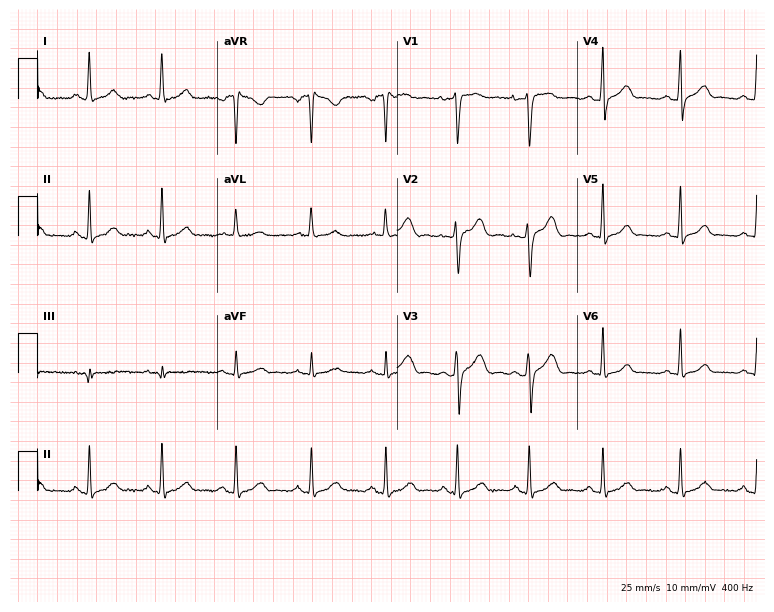
Resting 12-lead electrocardiogram (7.3-second recording at 400 Hz). Patient: a 54-year-old female. Read as a normal ECG.